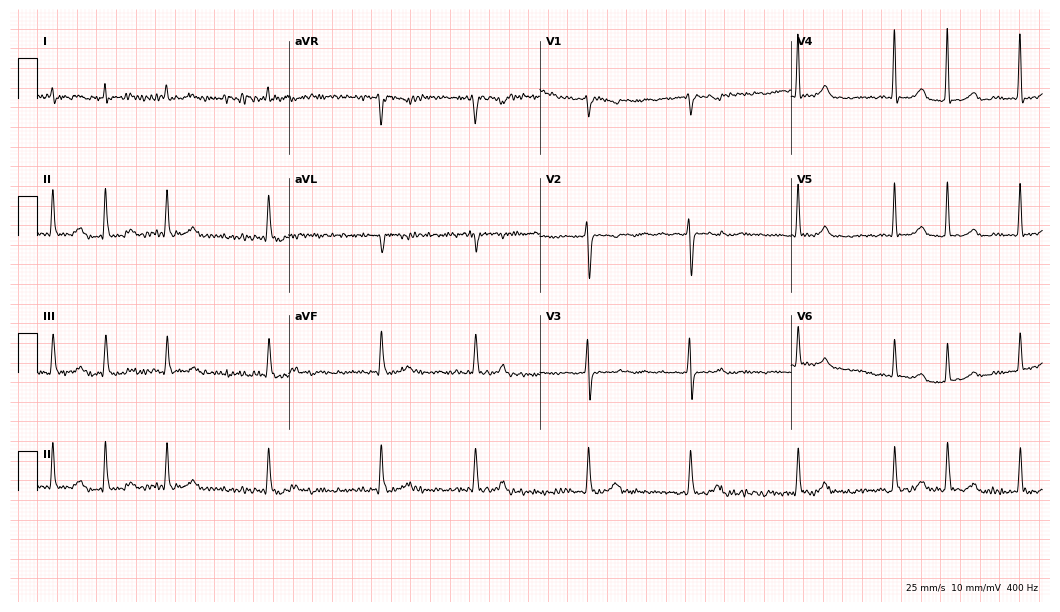
12-lead ECG from a female, 73 years old (10.2-second recording at 400 Hz). Shows atrial fibrillation (AF).